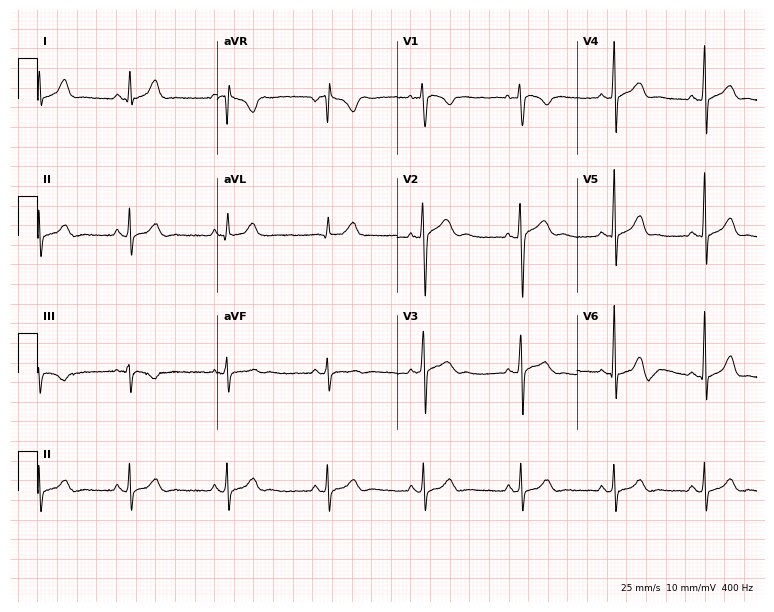
Electrocardiogram (7.3-second recording at 400 Hz), a male, 35 years old. Overall reading on record: normal ECG.